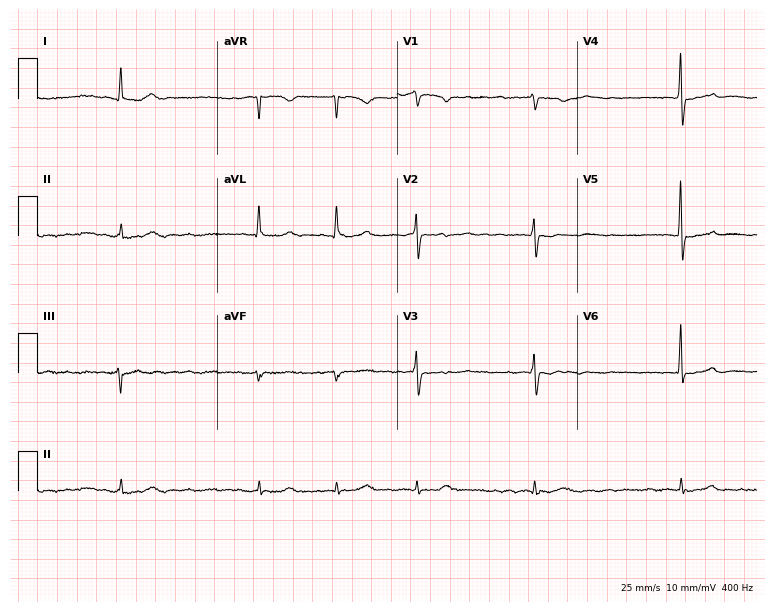
Standard 12-lead ECG recorded from a female, 71 years old (7.3-second recording at 400 Hz). The tracing shows atrial fibrillation.